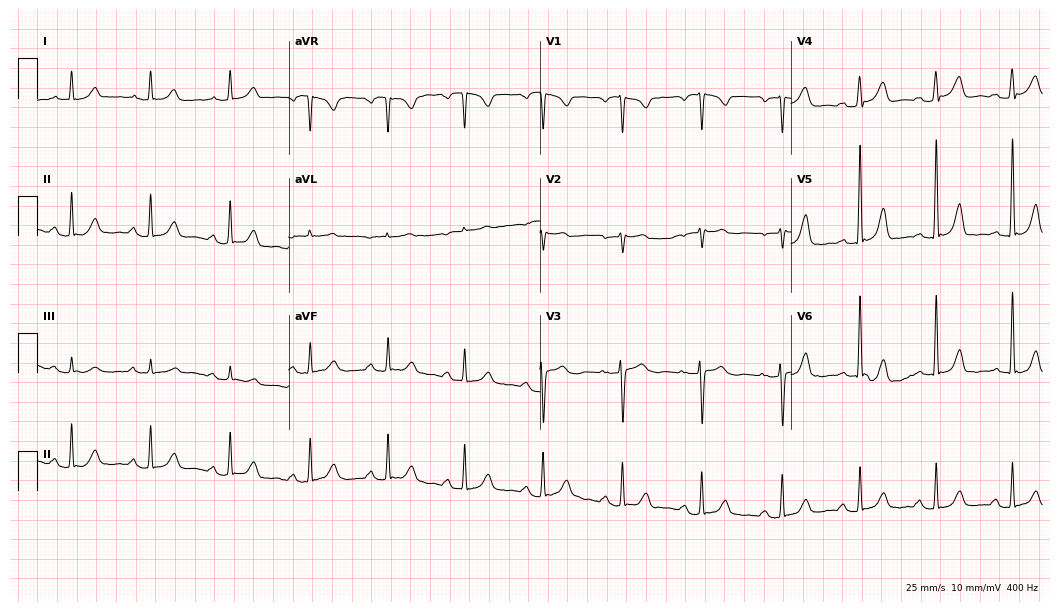
Standard 12-lead ECG recorded from a 70-year-old female patient (10.2-second recording at 400 Hz). None of these six findings is recorded: first-degree AV block, right bundle branch block (RBBB), left bundle branch block (LBBB), sinus bradycardia, atrial fibrillation (AF), sinus tachycardia. Other findings, if any, are not listed.